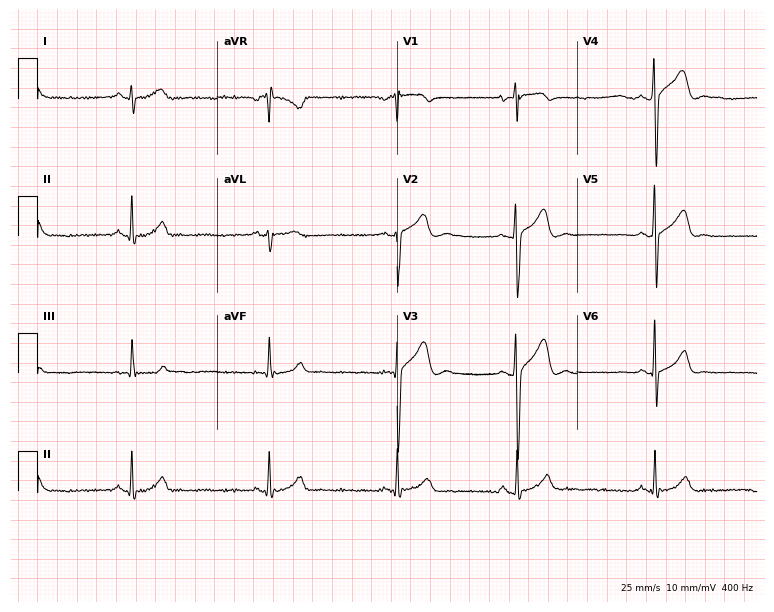
Electrocardiogram (7.3-second recording at 400 Hz), a 22-year-old man. Interpretation includes sinus bradycardia (a sinus rate of 50 beats per minute or less).